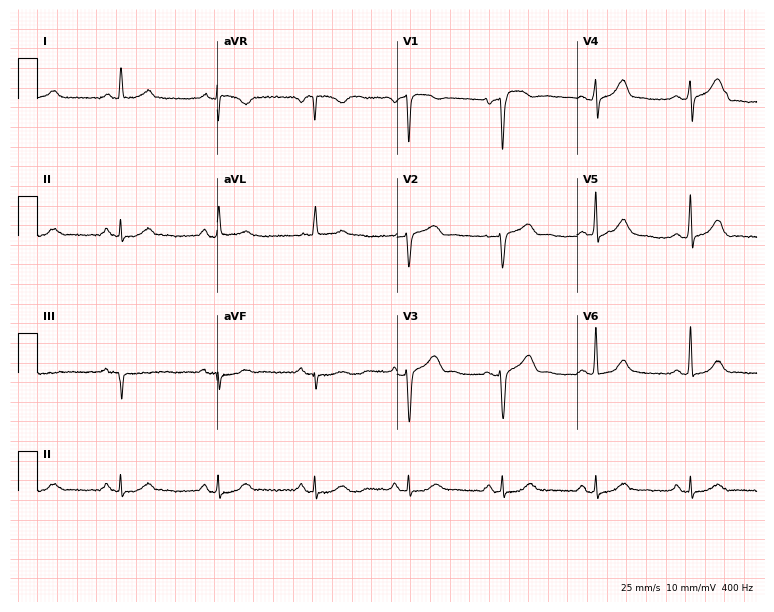
Standard 12-lead ECG recorded from a male, 61 years old. None of these six findings is recorded: first-degree AV block, right bundle branch block, left bundle branch block, sinus bradycardia, atrial fibrillation, sinus tachycardia.